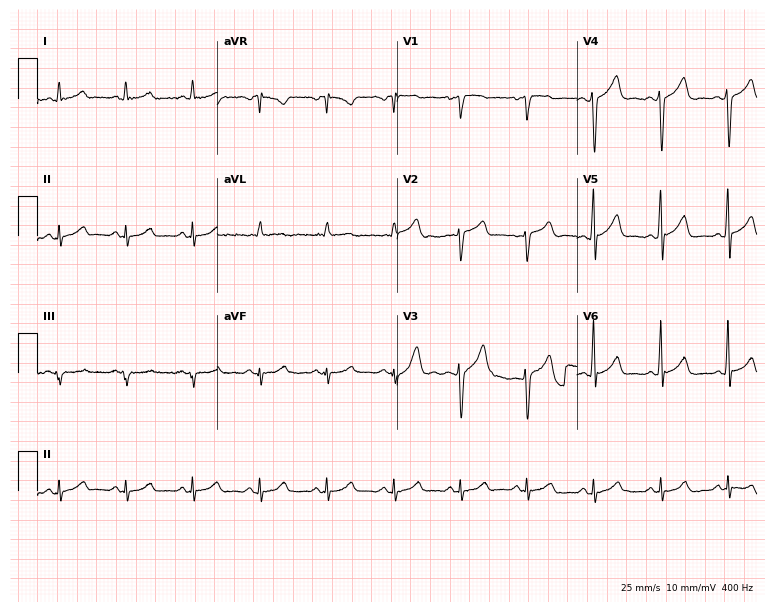
ECG (7.3-second recording at 400 Hz) — a male, 48 years old. Labelled as a normal ECG.